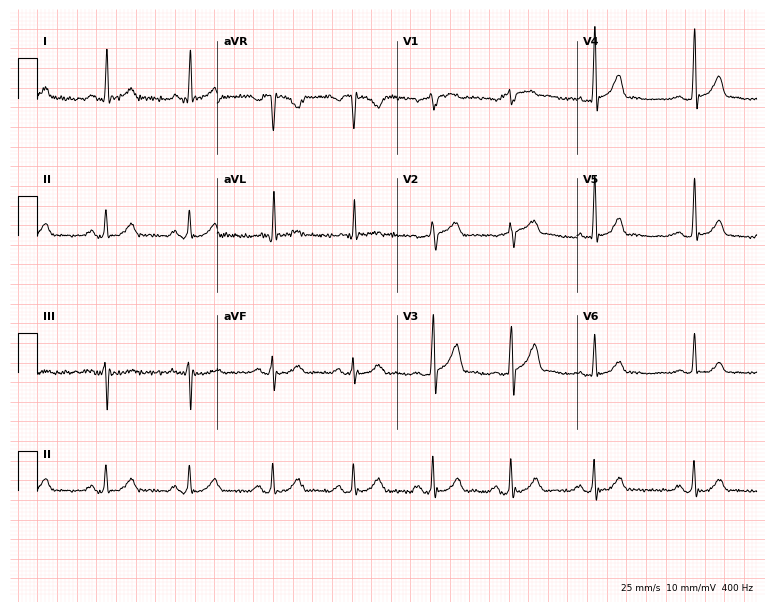
ECG — a male patient, 55 years old. Screened for six findings — first-degree AV block, right bundle branch block, left bundle branch block, sinus bradycardia, atrial fibrillation, sinus tachycardia — none is recorded.